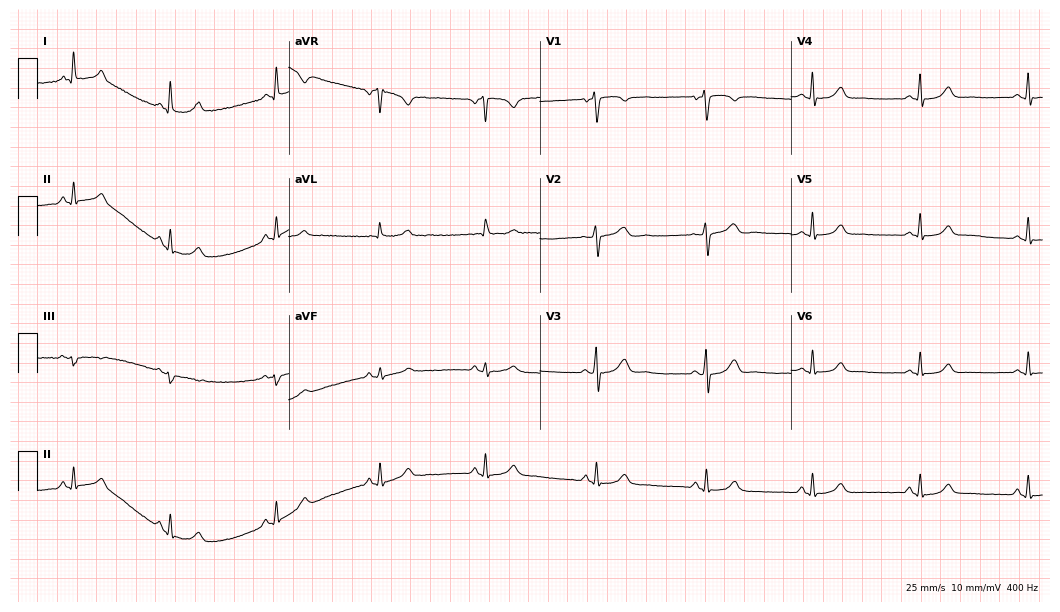
Resting 12-lead electrocardiogram. Patient: a woman, 34 years old. Read as a normal ECG.